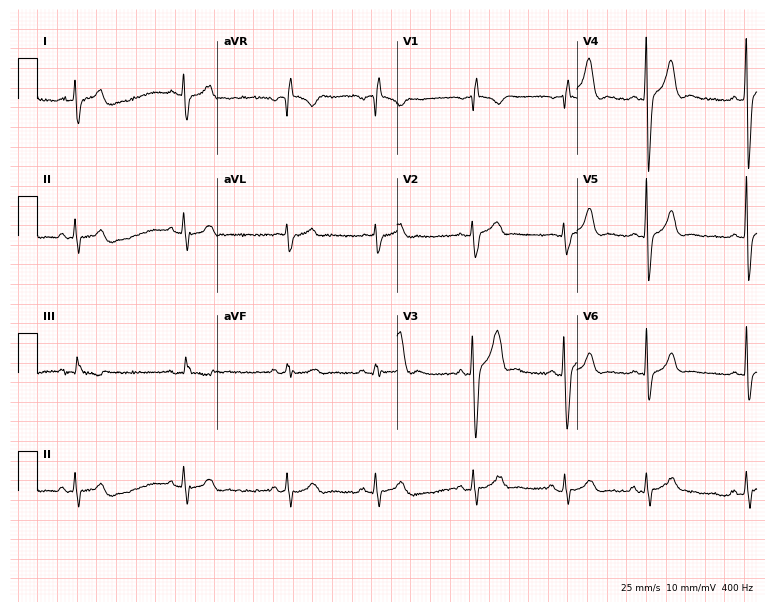
Resting 12-lead electrocardiogram. Patient: a 31-year-old male. None of these six findings is recorded: first-degree AV block, right bundle branch block, left bundle branch block, sinus bradycardia, atrial fibrillation, sinus tachycardia. Findings outside these six are not listed.